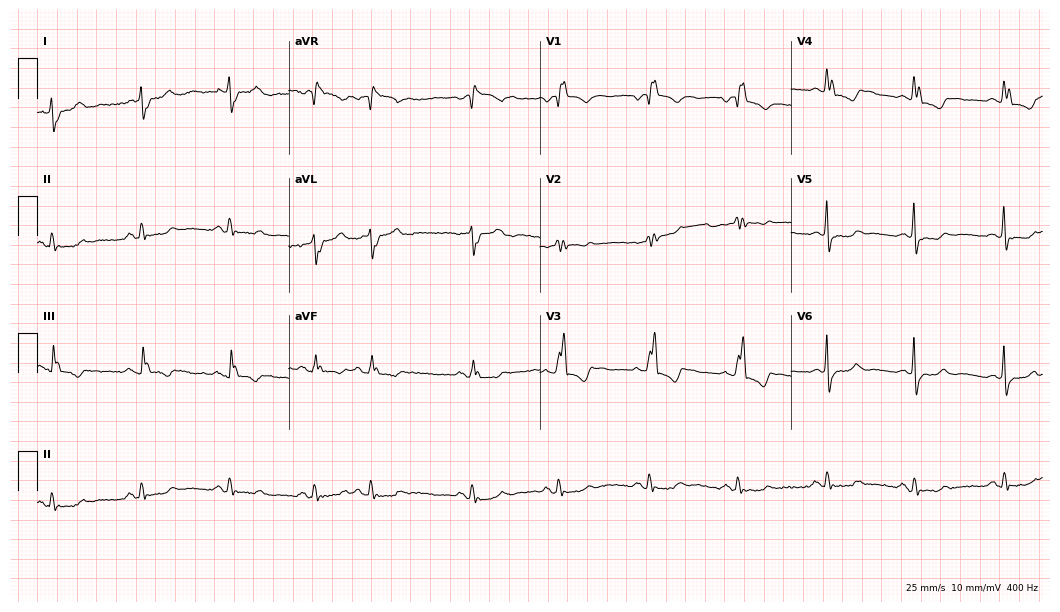
12-lead ECG from a female, 81 years old (10.2-second recording at 400 Hz). Shows right bundle branch block.